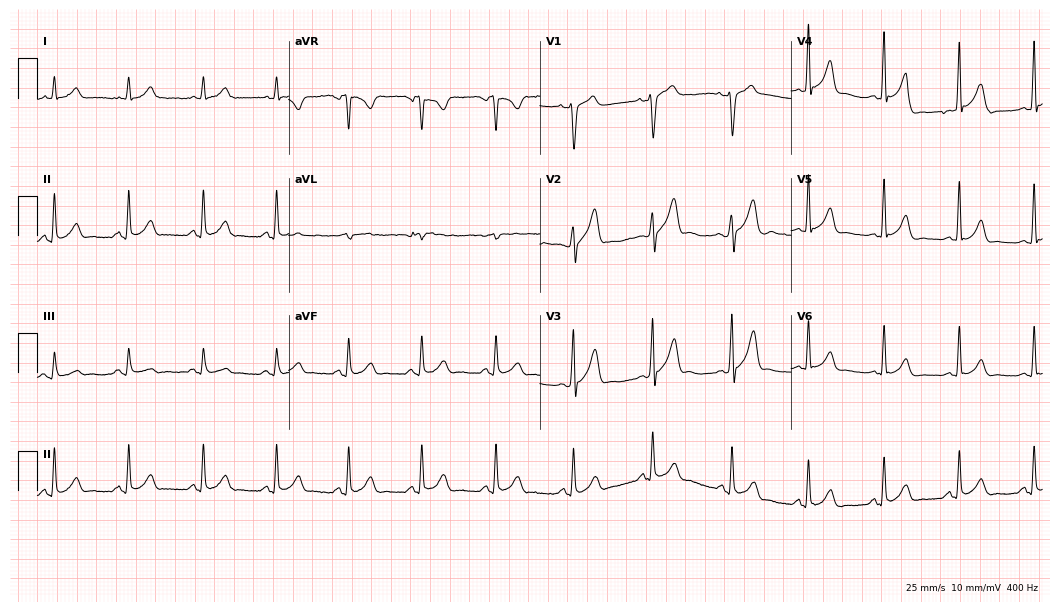
ECG (10.2-second recording at 400 Hz) — a 35-year-old male. Labelled as a normal ECG.